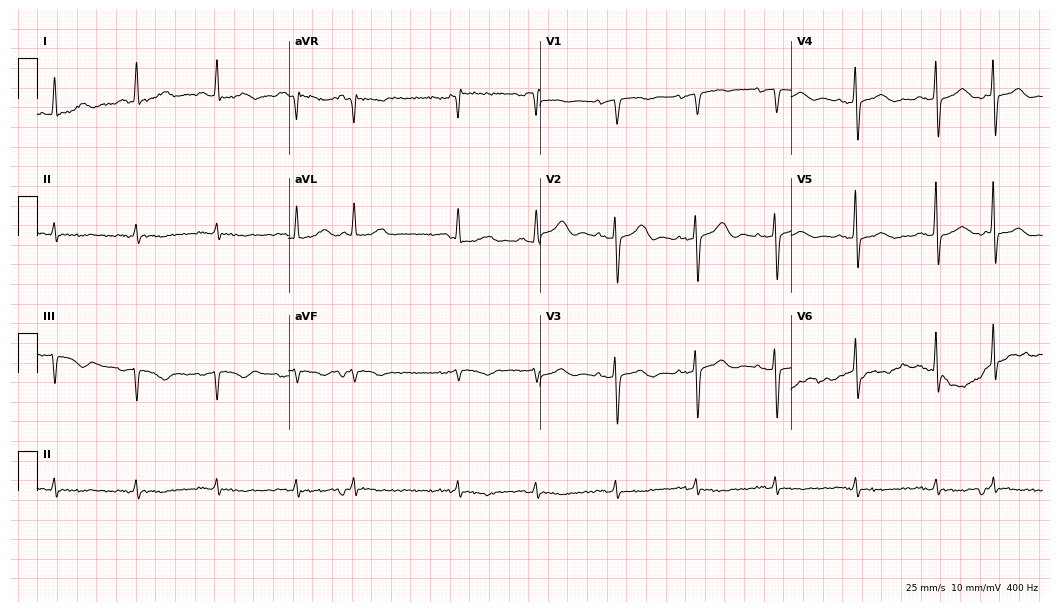
12-lead ECG from a 79-year-old female. Labelled as a normal ECG.